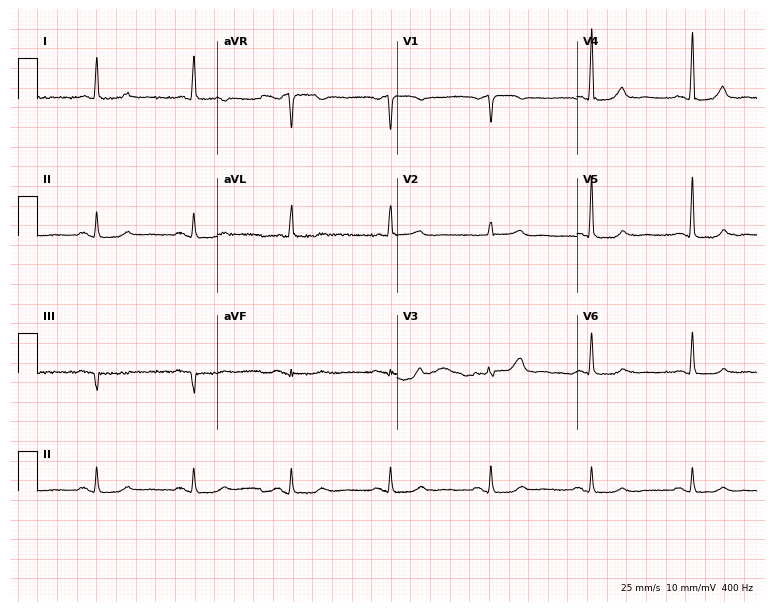
ECG (7.3-second recording at 400 Hz) — a female, 74 years old. Labelled as a normal ECG.